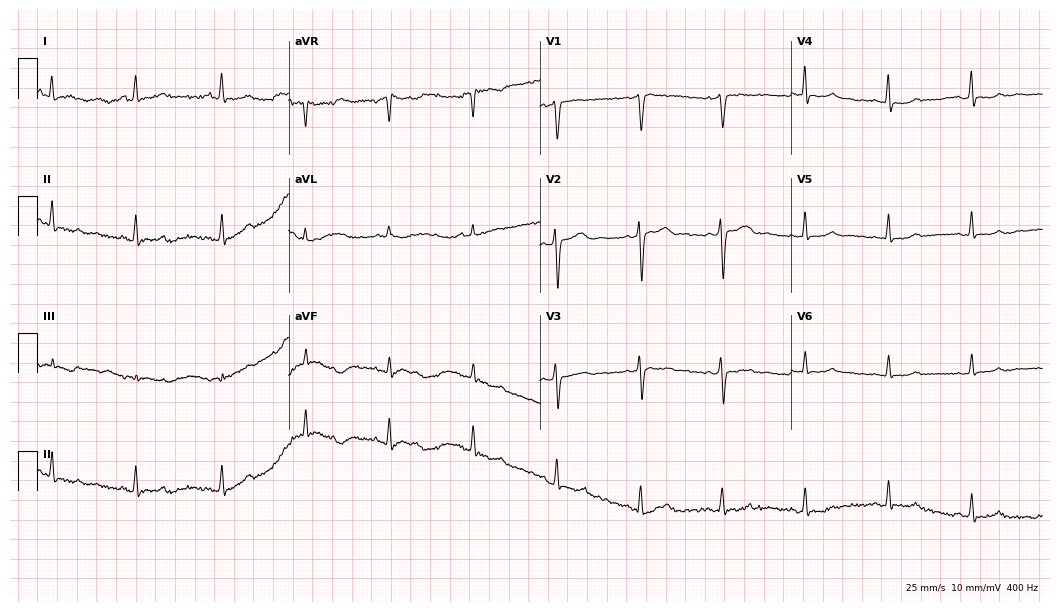
Standard 12-lead ECG recorded from a 41-year-old woman (10.2-second recording at 400 Hz). None of these six findings is recorded: first-degree AV block, right bundle branch block, left bundle branch block, sinus bradycardia, atrial fibrillation, sinus tachycardia.